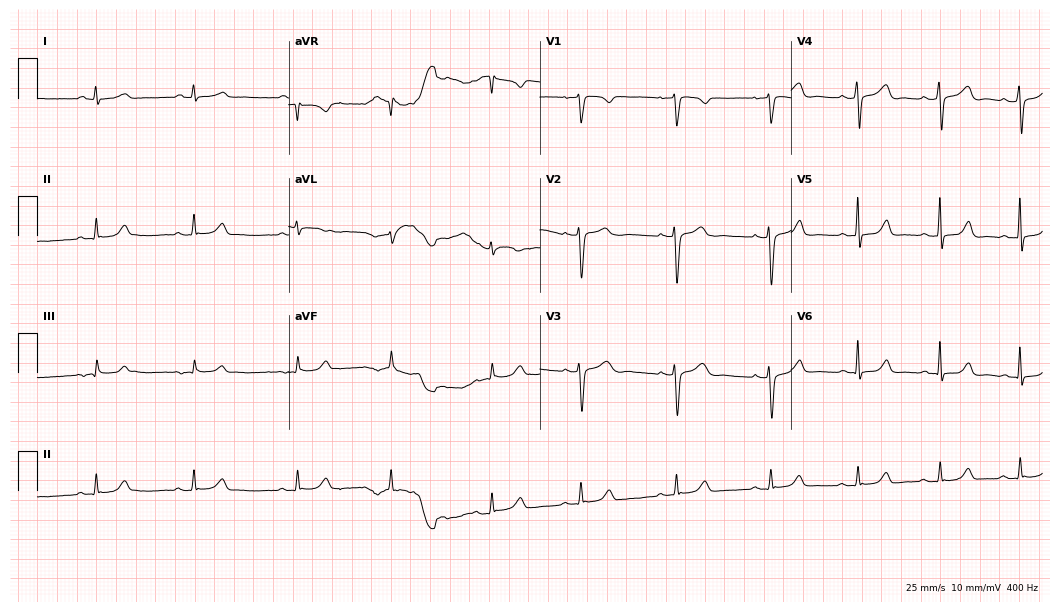
Electrocardiogram (10.2-second recording at 400 Hz), a woman, 27 years old. Of the six screened findings (first-degree AV block, right bundle branch block, left bundle branch block, sinus bradycardia, atrial fibrillation, sinus tachycardia), none is recorded. Other findings, if any, are not listed.